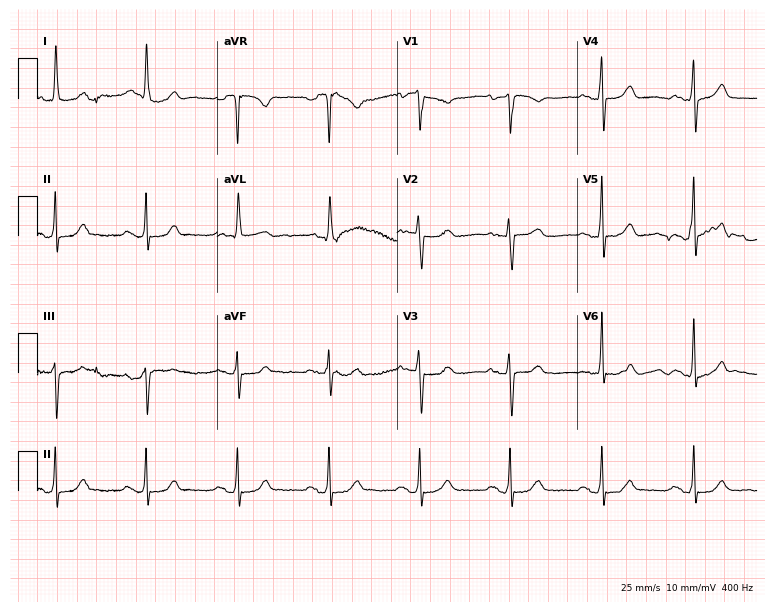
12-lead ECG from a 69-year-old female patient. Screened for six findings — first-degree AV block, right bundle branch block, left bundle branch block, sinus bradycardia, atrial fibrillation, sinus tachycardia — none is recorded.